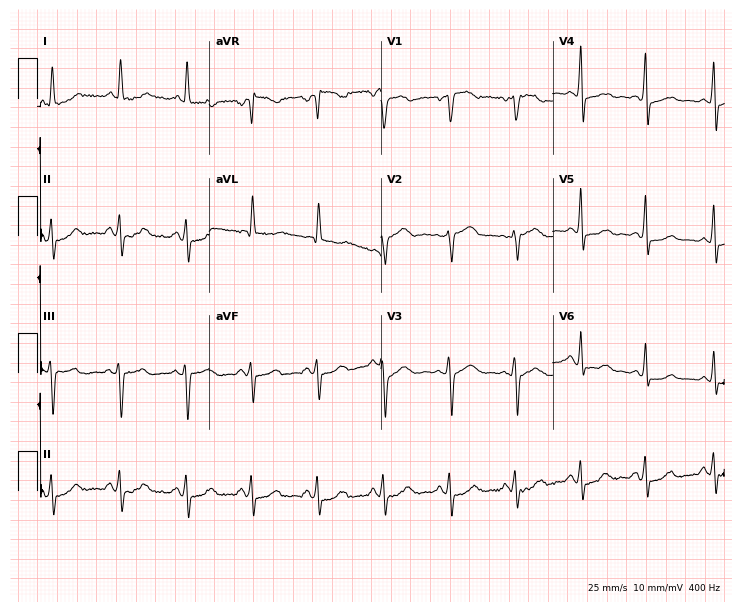
12-lead ECG from a woman, 67 years old. Screened for six findings — first-degree AV block, right bundle branch block, left bundle branch block, sinus bradycardia, atrial fibrillation, sinus tachycardia — none is recorded. Other findings, if any, are not listed.